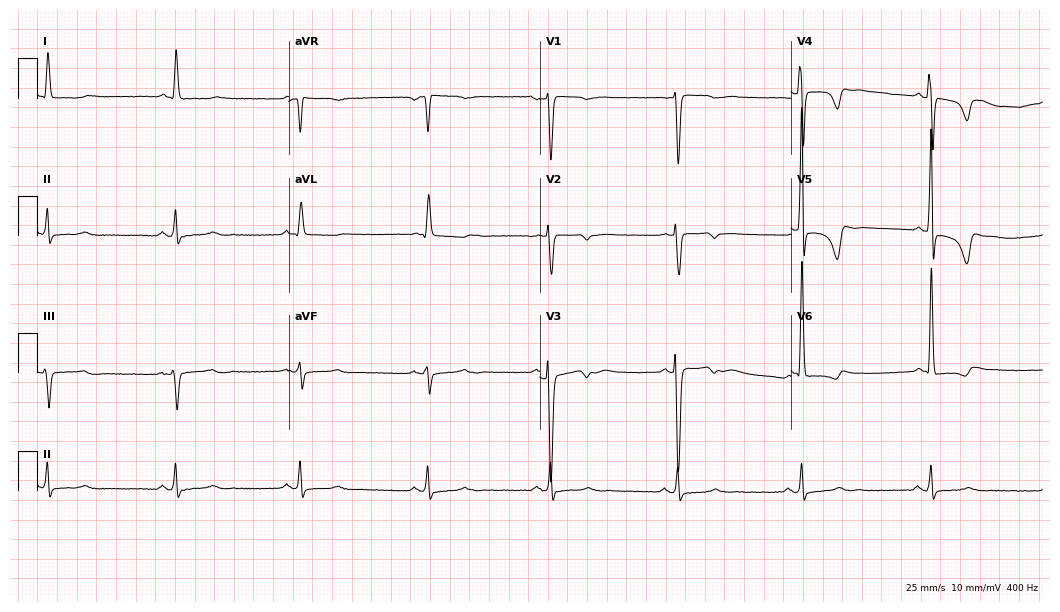
Resting 12-lead electrocardiogram. Patient: a woman, 43 years old. The tracing shows sinus bradycardia (a sinus rate of 50 beats per minute or less).